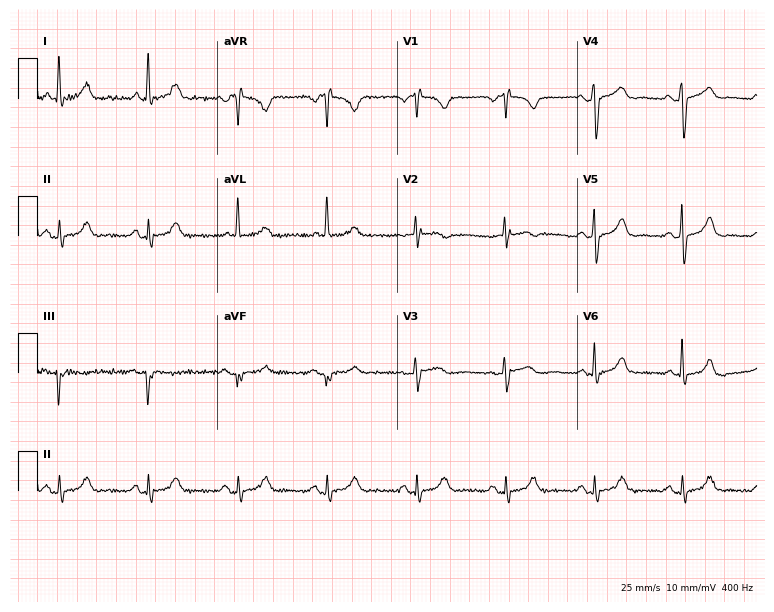
12-lead ECG from a 68-year-old woman. No first-degree AV block, right bundle branch block, left bundle branch block, sinus bradycardia, atrial fibrillation or sinus tachycardia recorded for this tracing. Only these six findings were labelled.